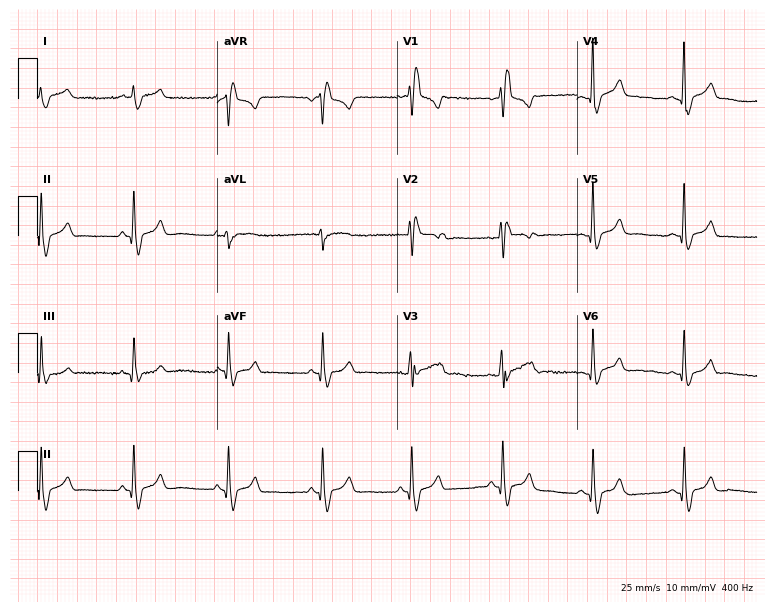
Resting 12-lead electrocardiogram. Patient: a male, 46 years old. The tracing shows right bundle branch block.